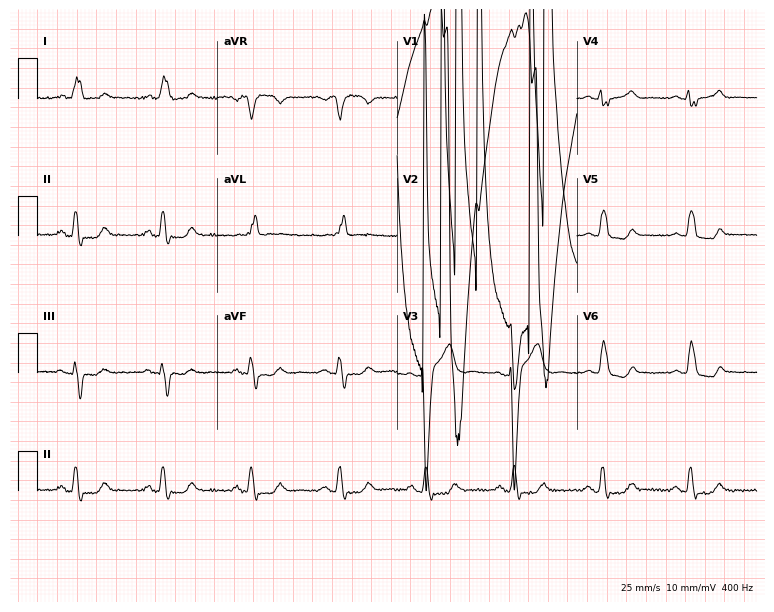
ECG (7.3-second recording at 400 Hz) — a female, 62 years old. Screened for six findings — first-degree AV block, right bundle branch block, left bundle branch block, sinus bradycardia, atrial fibrillation, sinus tachycardia — none is recorded. Other findings, if any, are not listed.